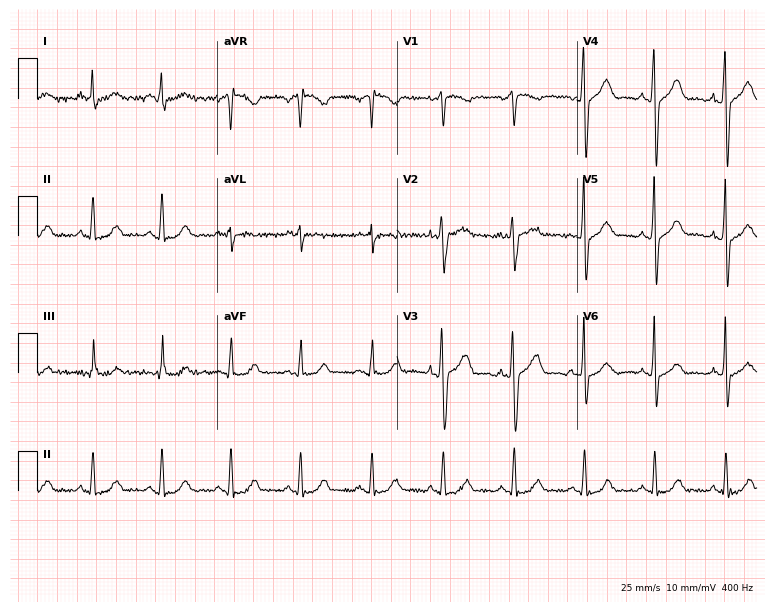
Electrocardiogram, a 46-year-old male. Overall reading on record: normal ECG.